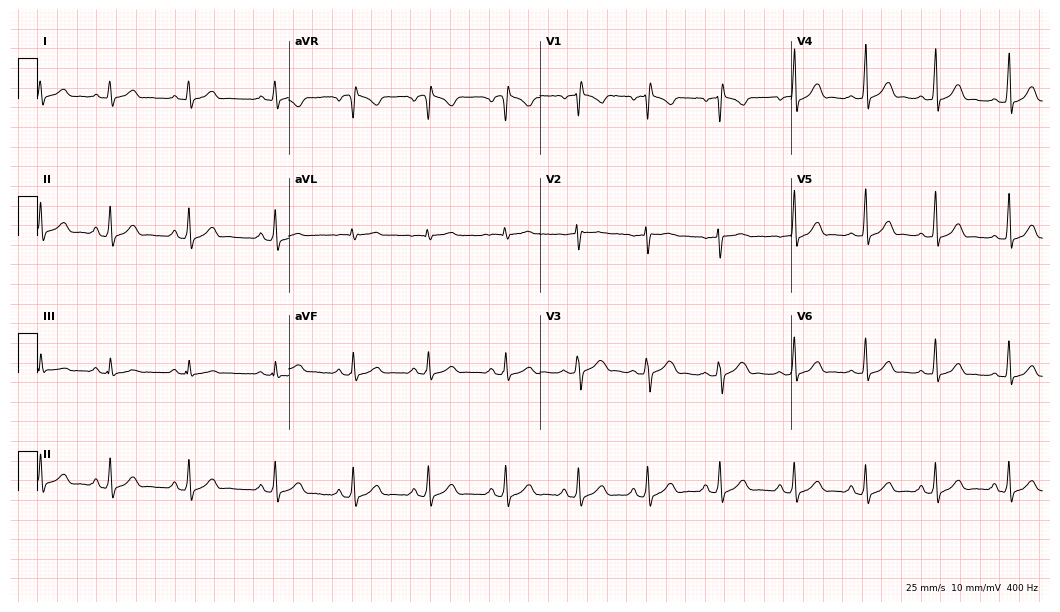
ECG (10.2-second recording at 400 Hz) — a woman, 23 years old. Labelled as a normal ECG.